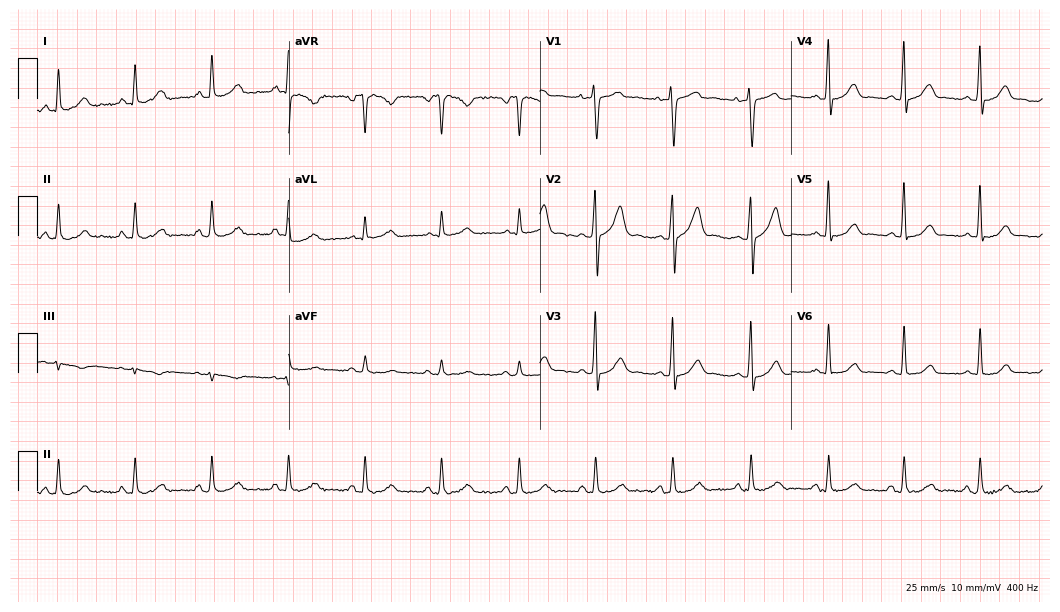
ECG — a man, 35 years old. Screened for six findings — first-degree AV block, right bundle branch block, left bundle branch block, sinus bradycardia, atrial fibrillation, sinus tachycardia — none is recorded.